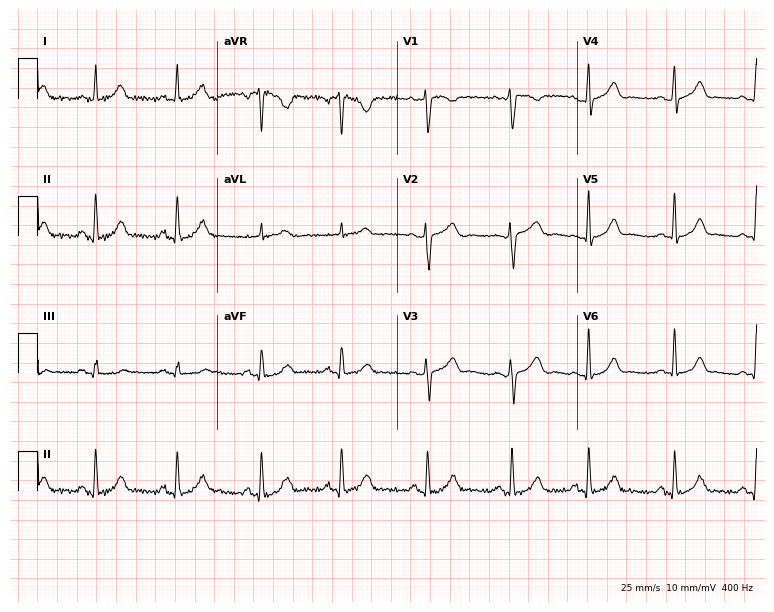
12-lead ECG from a 29-year-old female (7.3-second recording at 400 Hz). Recorded interpretation: within normal limits.